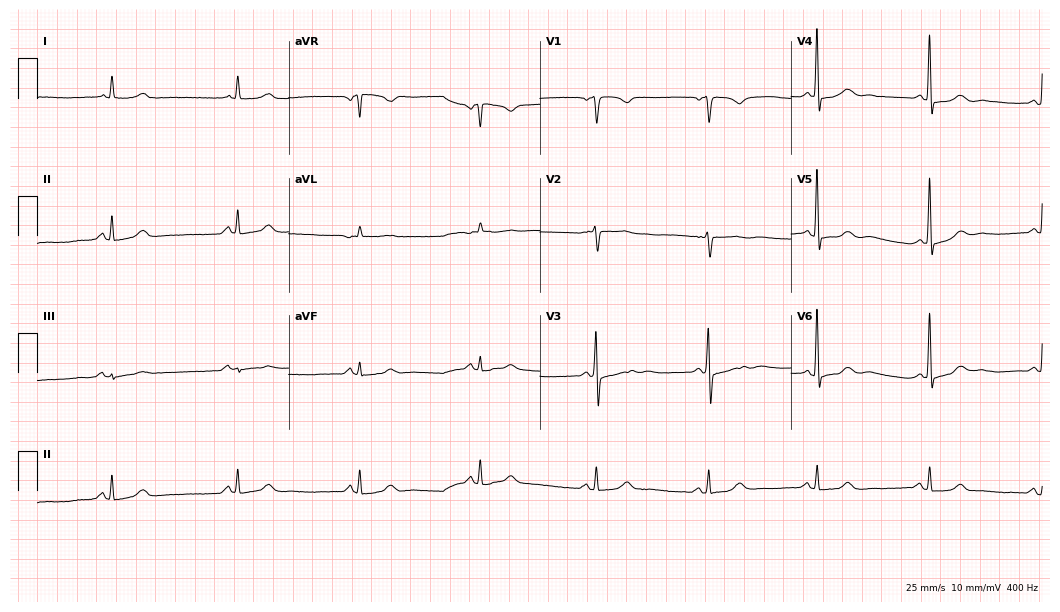
Standard 12-lead ECG recorded from a female, 71 years old (10.2-second recording at 400 Hz). None of these six findings is recorded: first-degree AV block, right bundle branch block, left bundle branch block, sinus bradycardia, atrial fibrillation, sinus tachycardia. Other findings, if any, are not listed.